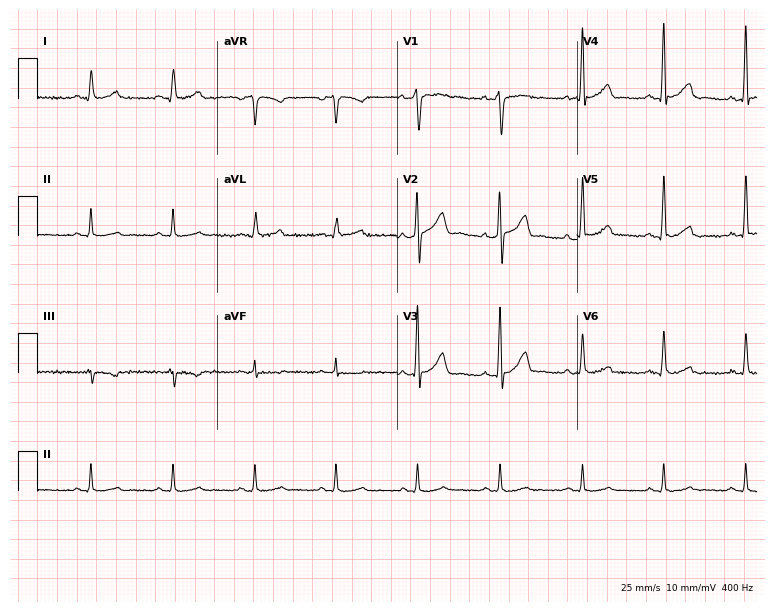
ECG (7.3-second recording at 400 Hz) — a male patient, 45 years old. Screened for six findings — first-degree AV block, right bundle branch block, left bundle branch block, sinus bradycardia, atrial fibrillation, sinus tachycardia — none is recorded. Only these six findings were labelled.